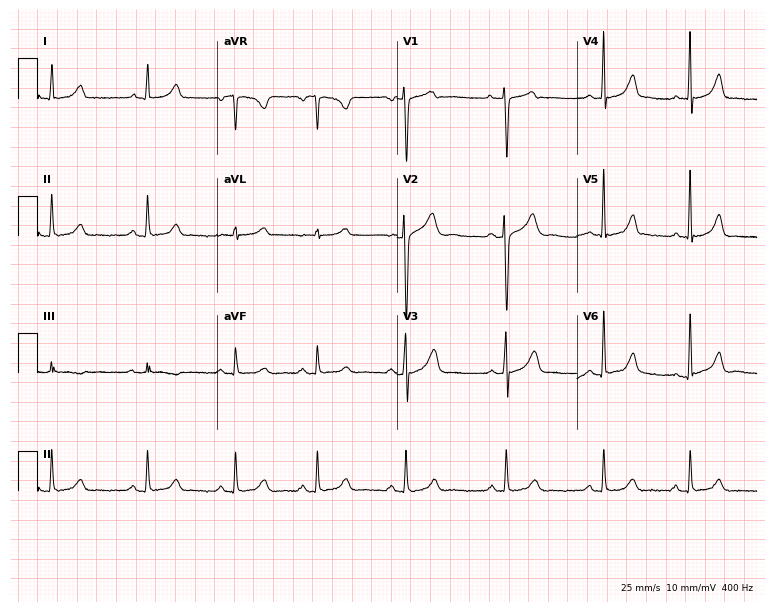
12-lead ECG (7.3-second recording at 400 Hz) from a woman, 25 years old. Labelled as a normal ECG.